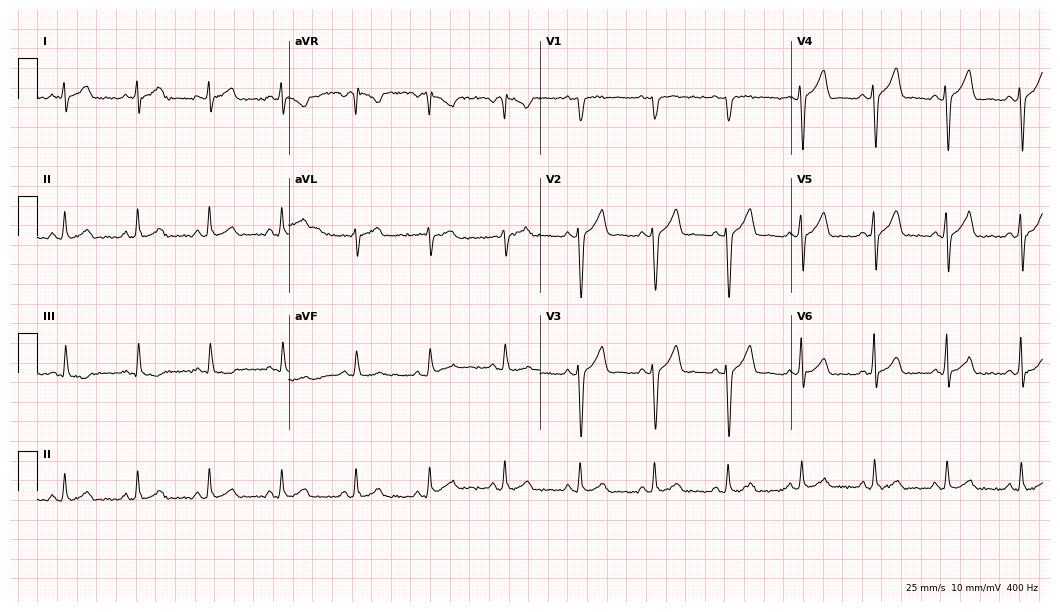
12-lead ECG from a 35-year-old man (10.2-second recording at 400 Hz). No first-degree AV block, right bundle branch block (RBBB), left bundle branch block (LBBB), sinus bradycardia, atrial fibrillation (AF) or sinus tachycardia recorded for this tracing.